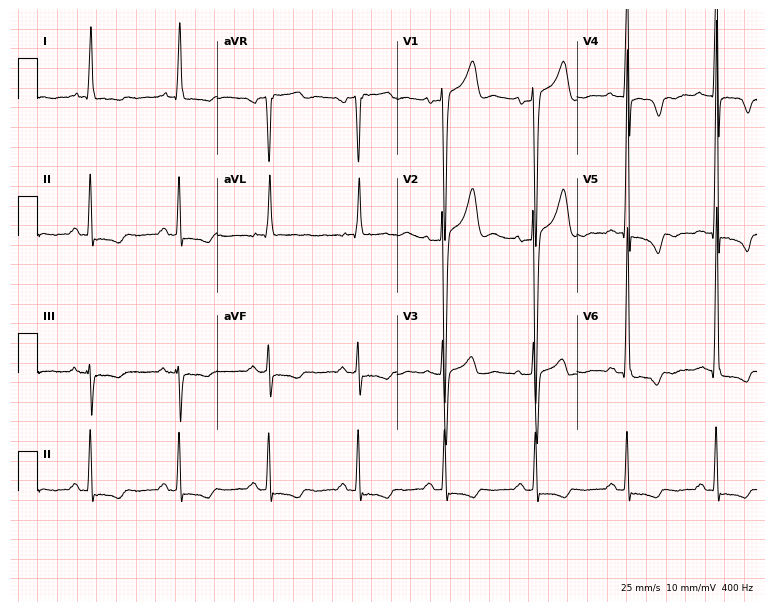
12-lead ECG from a male patient, 43 years old. Screened for six findings — first-degree AV block, right bundle branch block, left bundle branch block, sinus bradycardia, atrial fibrillation, sinus tachycardia — none is recorded.